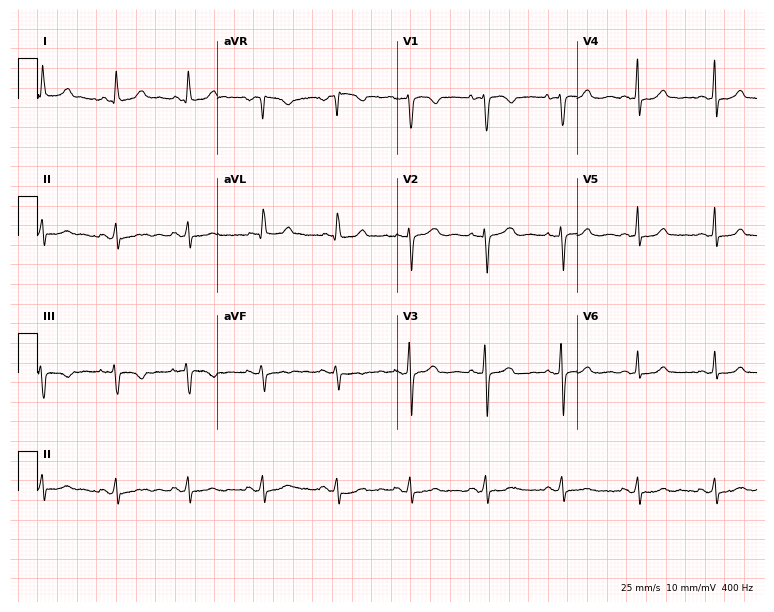
ECG (7.3-second recording at 400 Hz) — a woman, 38 years old. Screened for six findings — first-degree AV block, right bundle branch block, left bundle branch block, sinus bradycardia, atrial fibrillation, sinus tachycardia — none is recorded.